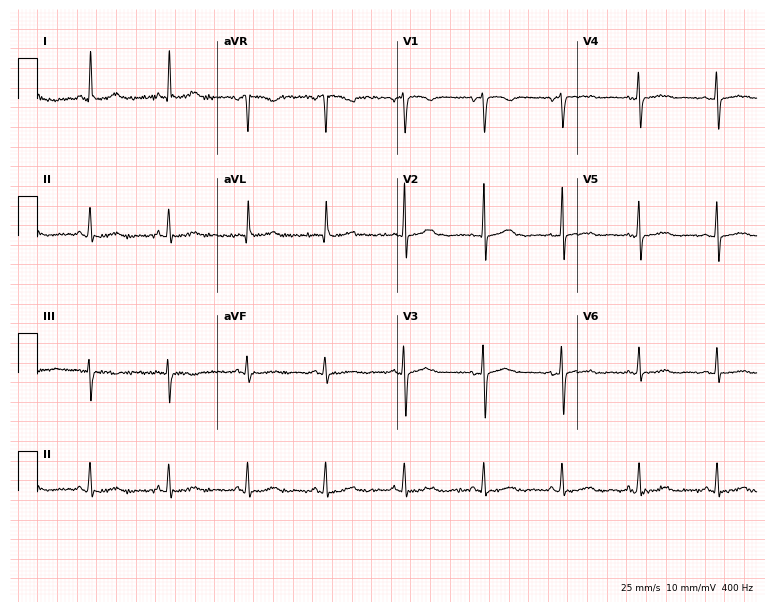
Electrocardiogram (7.3-second recording at 400 Hz), a 70-year-old female. Overall reading on record: normal ECG.